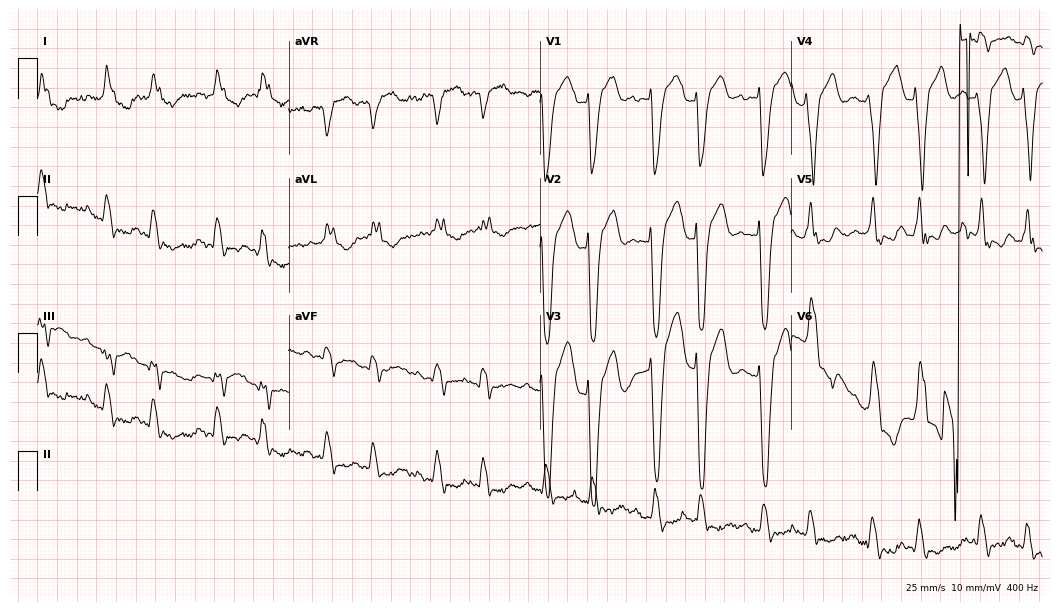
12-lead ECG from a man, 74 years old (10.2-second recording at 400 Hz). No first-degree AV block, right bundle branch block, left bundle branch block, sinus bradycardia, atrial fibrillation or sinus tachycardia recorded for this tracing.